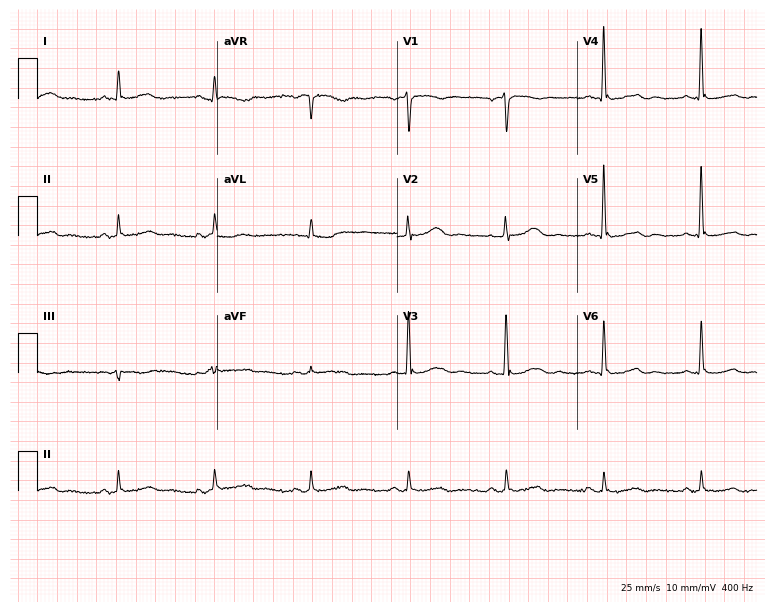
Electrocardiogram (7.3-second recording at 400 Hz), a 59-year-old man. Of the six screened findings (first-degree AV block, right bundle branch block, left bundle branch block, sinus bradycardia, atrial fibrillation, sinus tachycardia), none is recorded. Only these six findings were labelled.